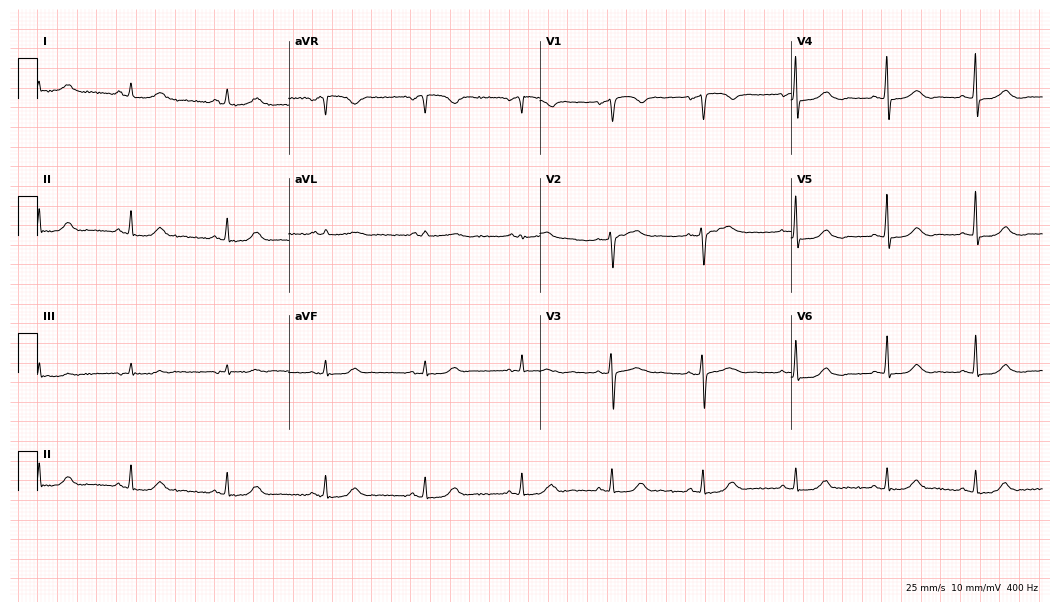
12-lead ECG (10.2-second recording at 400 Hz) from a woman, 61 years old. Labelled as a normal ECG.